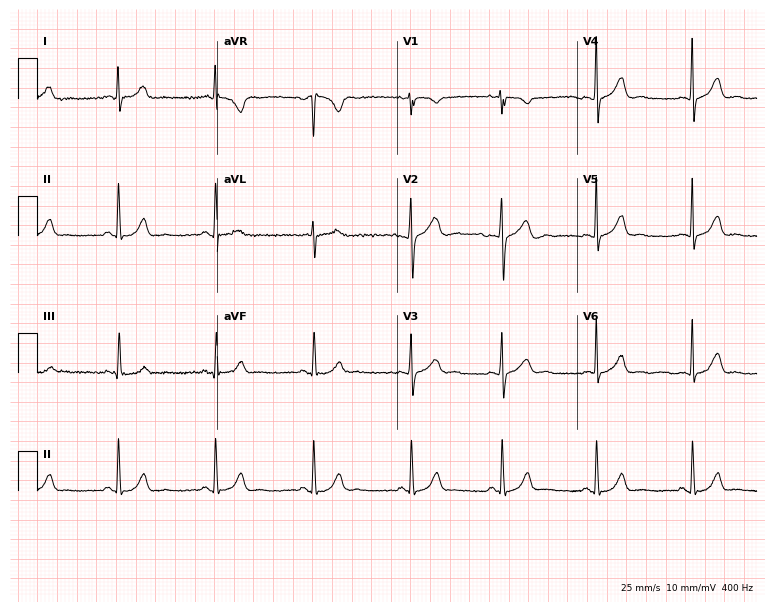
Resting 12-lead electrocardiogram. Patient: a female, 19 years old. None of these six findings is recorded: first-degree AV block, right bundle branch block, left bundle branch block, sinus bradycardia, atrial fibrillation, sinus tachycardia.